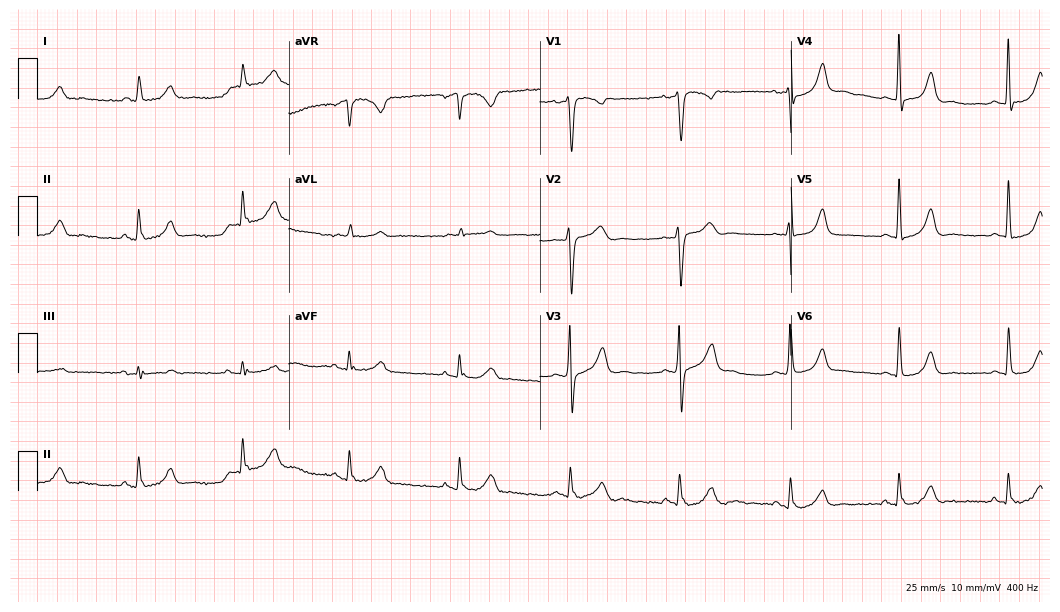
Electrocardiogram (10.2-second recording at 400 Hz), a male patient, 67 years old. Overall reading on record: normal ECG.